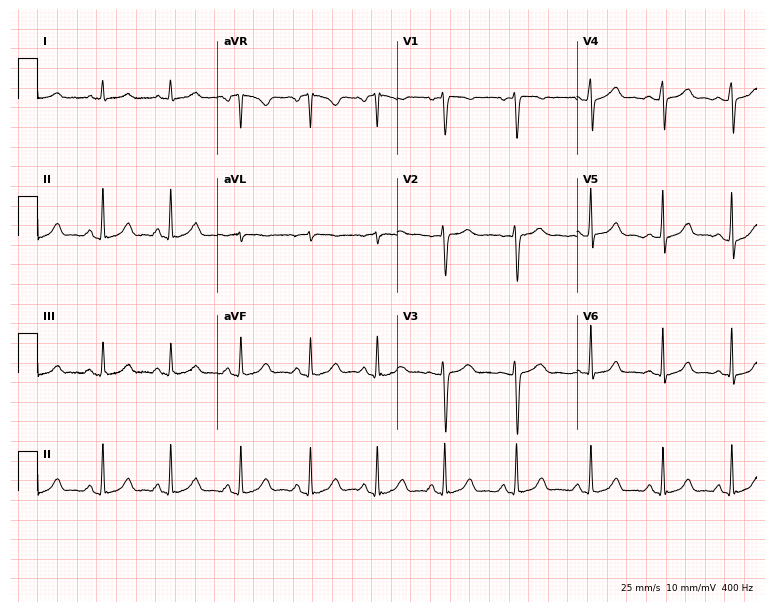
ECG (7.3-second recording at 400 Hz) — a female, 29 years old. Labelled as a normal ECG.